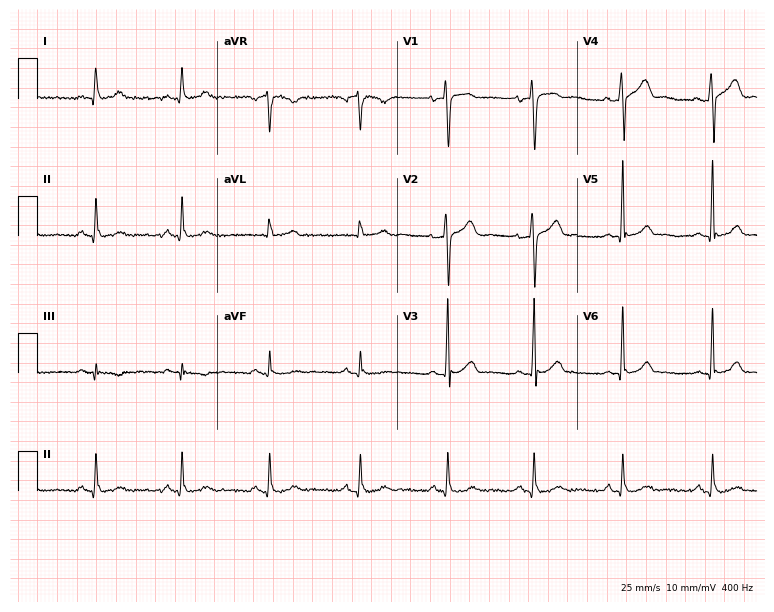
Standard 12-lead ECG recorded from a 35-year-old female. Read as a normal ECG.